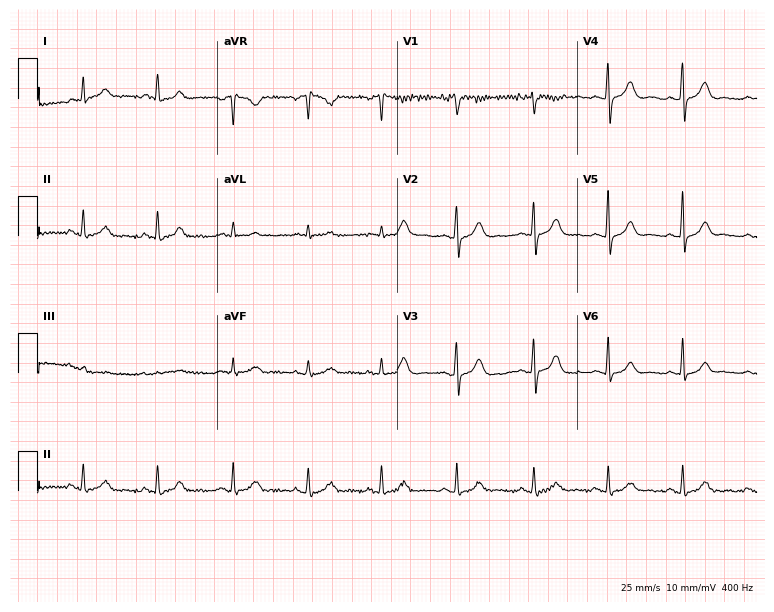
ECG (7.3-second recording at 400 Hz) — a female, 49 years old. Screened for six findings — first-degree AV block, right bundle branch block (RBBB), left bundle branch block (LBBB), sinus bradycardia, atrial fibrillation (AF), sinus tachycardia — none is recorded.